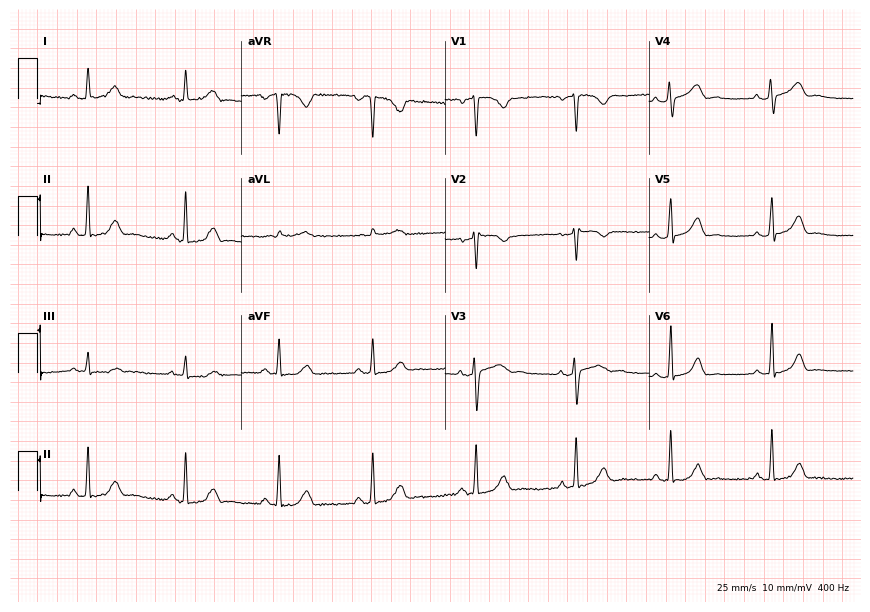
Resting 12-lead electrocardiogram (8.3-second recording at 400 Hz). Patient: a 43-year-old female. Read as a normal ECG.